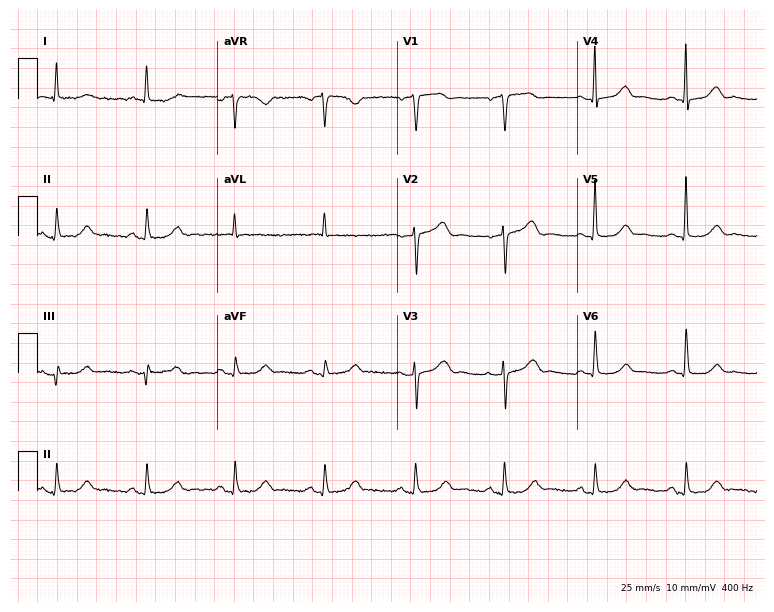
12-lead ECG from a 77-year-old female. No first-degree AV block, right bundle branch block, left bundle branch block, sinus bradycardia, atrial fibrillation or sinus tachycardia recorded for this tracing. Other findings, if any, are not listed.